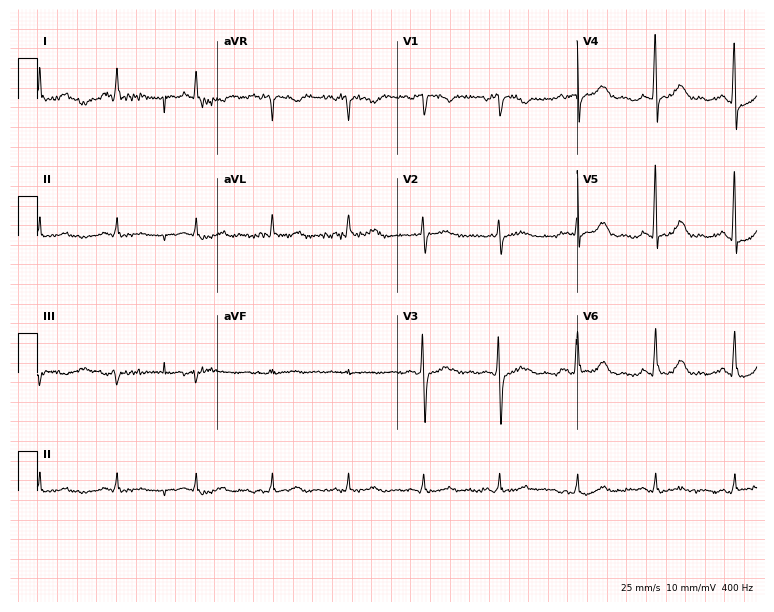
Resting 12-lead electrocardiogram (7.3-second recording at 400 Hz). Patient: a 56-year-old female. Read as a normal ECG.